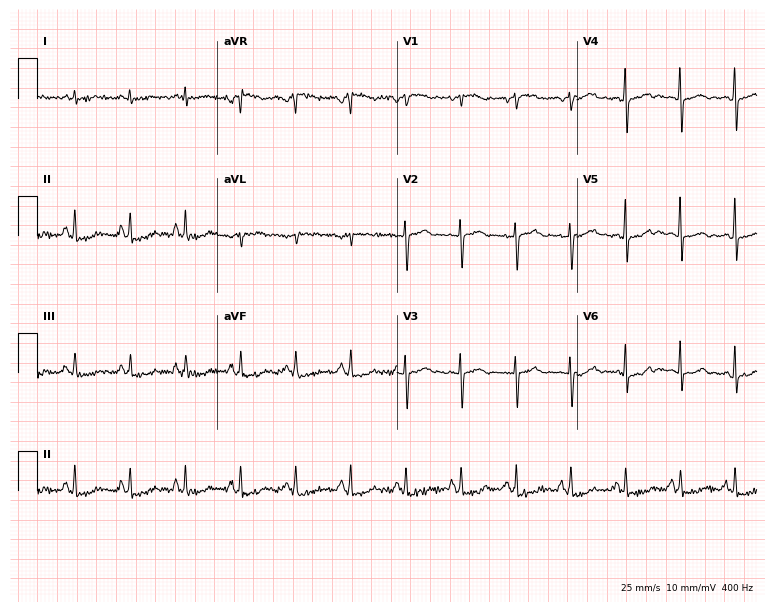
Electrocardiogram, a female patient, 64 years old. Of the six screened findings (first-degree AV block, right bundle branch block, left bundle branch block, sinus bradycardia, atrial fibrillation, sinus tachycardia), none is recorded. Only these six findings were labelled.